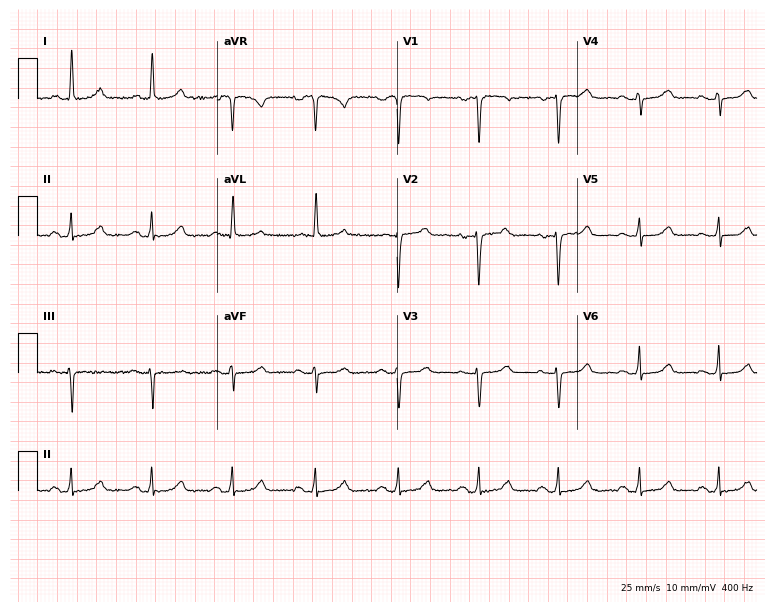
12-lead ECG from a female, 63 years old. Screened for six findings — first-degree AV block, right bundle branch block, left bundle branch block, sinus bradycardia, atrial fibrillation, sinus tachycardia — none is recorded.